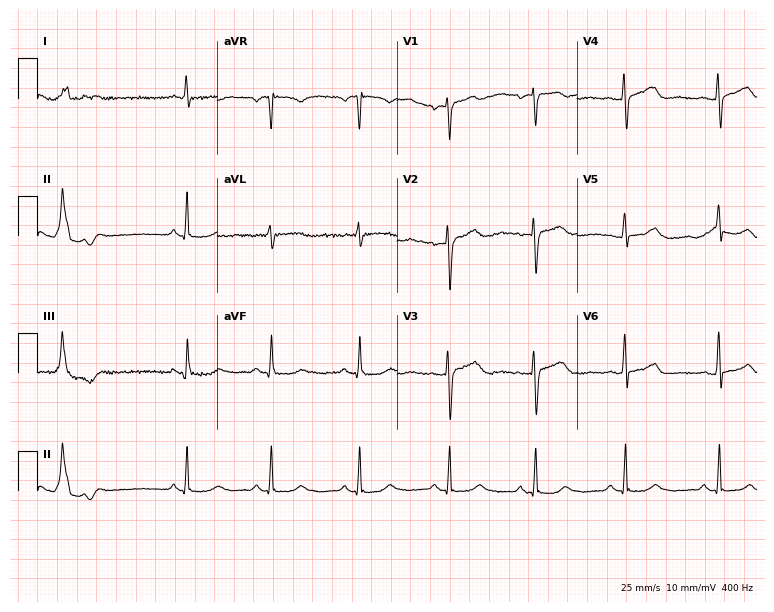
12-lead ECG from a 55-year-old woman (7.3-second recording at 400 Hz). No first-degree AV block, right bundle branch block, left bundle branch block, sinus bradycardia, atrial fibrillation or sinus tachycardia recorded for this tracing.